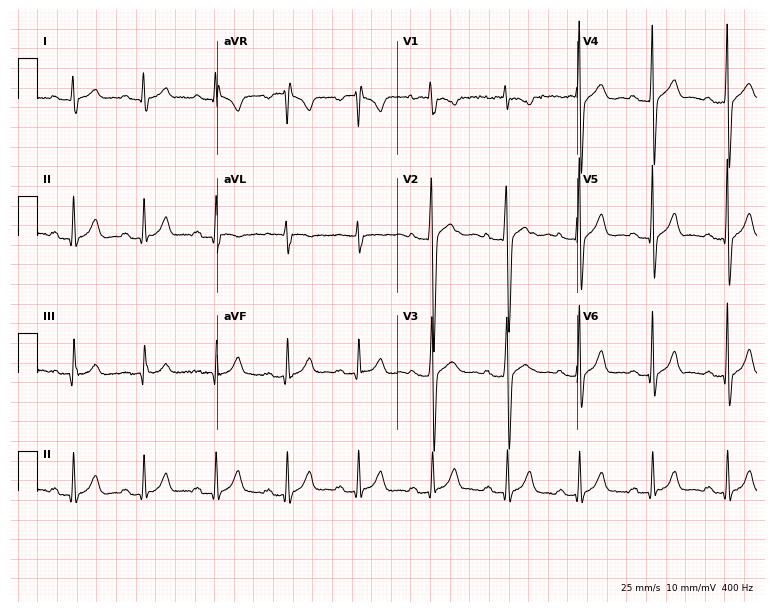
12-lead ECG from a male, 33 years old. Labelled as a normal ECG.